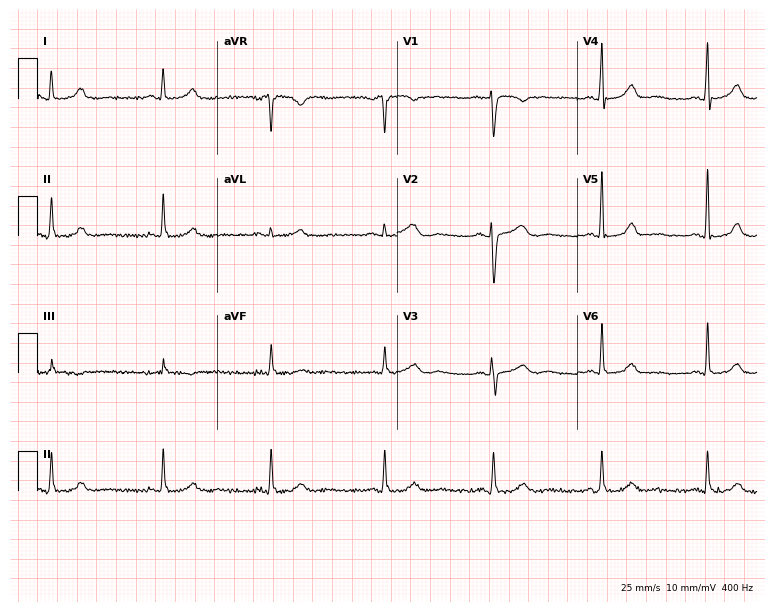
ECG (7.3-second recording at 400 Hz) — a female patient, 49 years old. Labelled as a normal ECG.